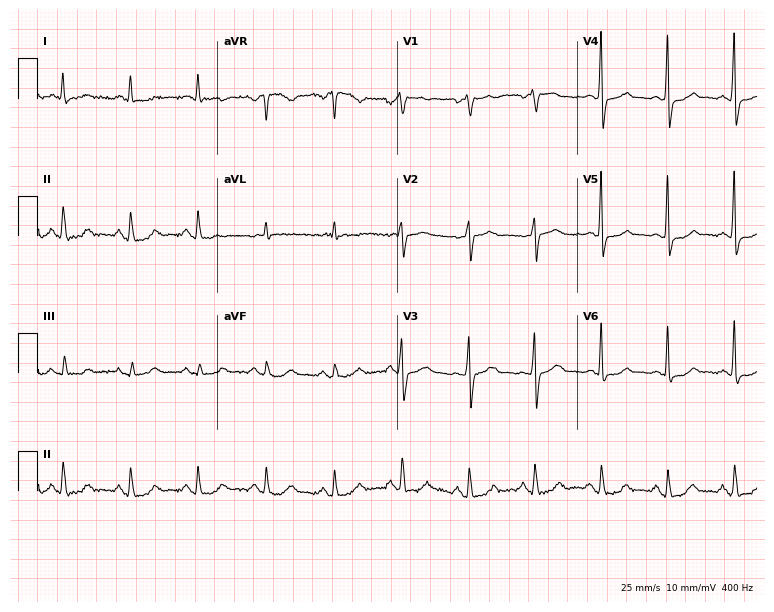
Electrocardiogram (7.3-second recording at 400 Hz), a 75-year-old man. Of the six screened findings (first-degree AV block, right bundle branch block, left bundle branch block, sinus bradycardia, atrial fibrillation, sinus tachycardia), none is recorded.